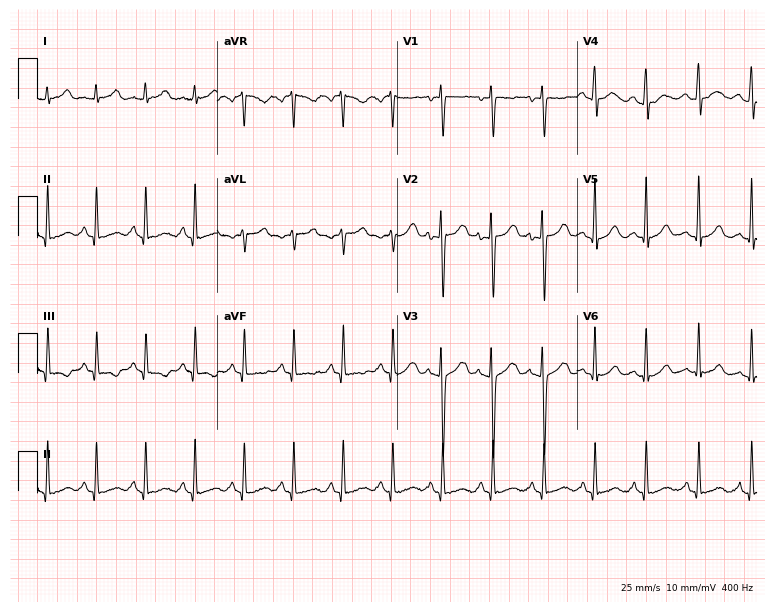
Electrocardiogram (7.3-second recording at 400 Hz), a female patient, 26 years old. Interpretation includes sinus tachycardia (a sinus rate of 100 beats per minute or more).